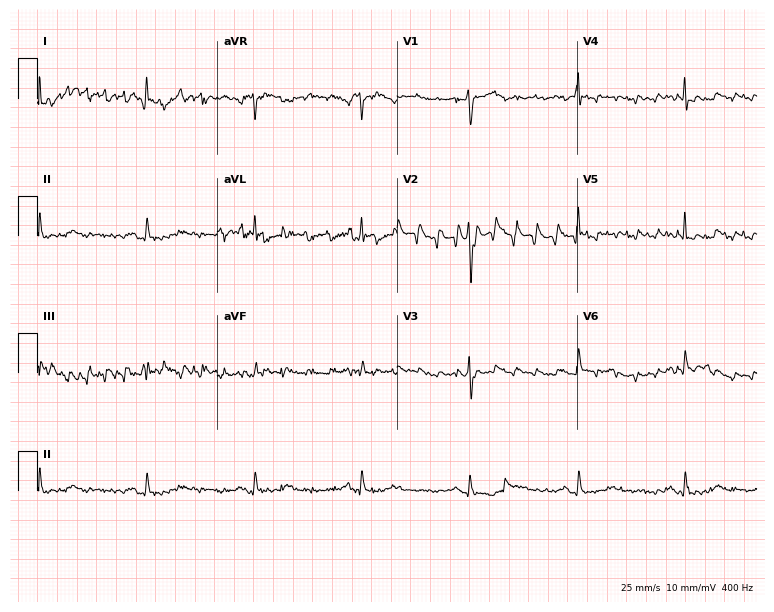
Resting 12-lead electrocardiogram (7.3-second recording at 400 Hz). Patient: a female, 71 years old. None of these six findings is recorded: first-degree AV block, right bundle branch block, left bundle branch block, sinus bradycardia, atrial fibrillation, sinus tachycardia. Only these six findings were labelled.